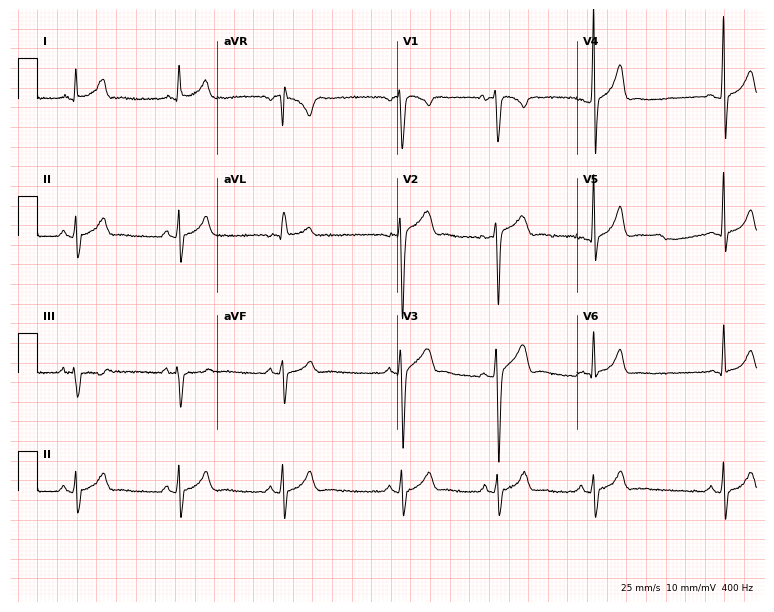
Standard 12-lead ECG recorded from an 18-year-old man. Read as a normal ECG.